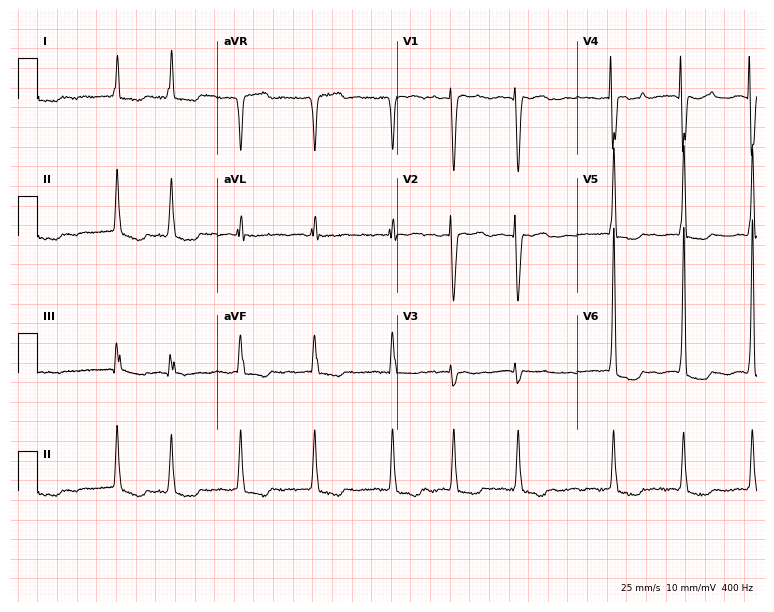
ECG — a 77-year-old female patient. Findings include atrial fibrillation.